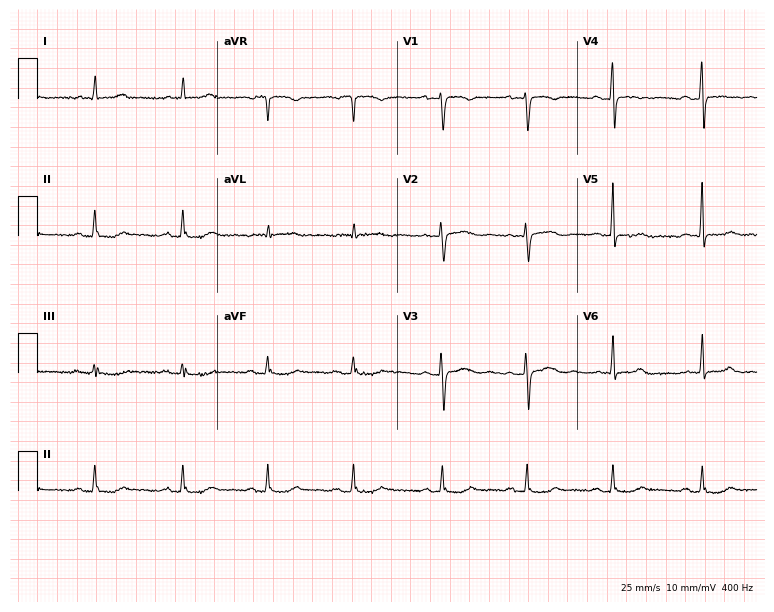
12-lead ECG from a 79-year-old female. No first-degree AV block, right bundle branch block (RBBB), left bundle branch block (LBBB), sinus bradycardia, atrial fibrillation (AF) or sinus tachycardia recorded for this tracing. Other findings, if any, are not listed.